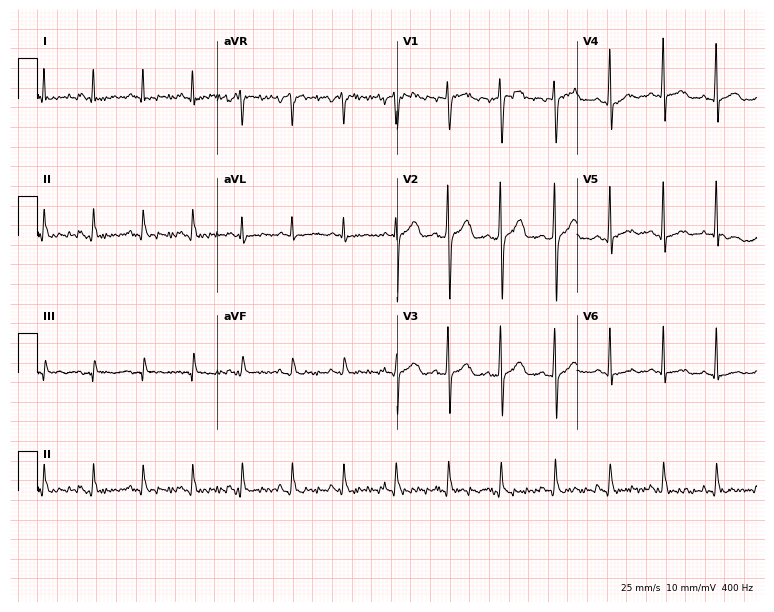
Resting 12-lead electrocardiogram (7.3-second recording at 400 Hz). Patient: a 42-year-old man. The tracing shows sinus tachycardia (a sinus rate of 100 beats per minute or more).